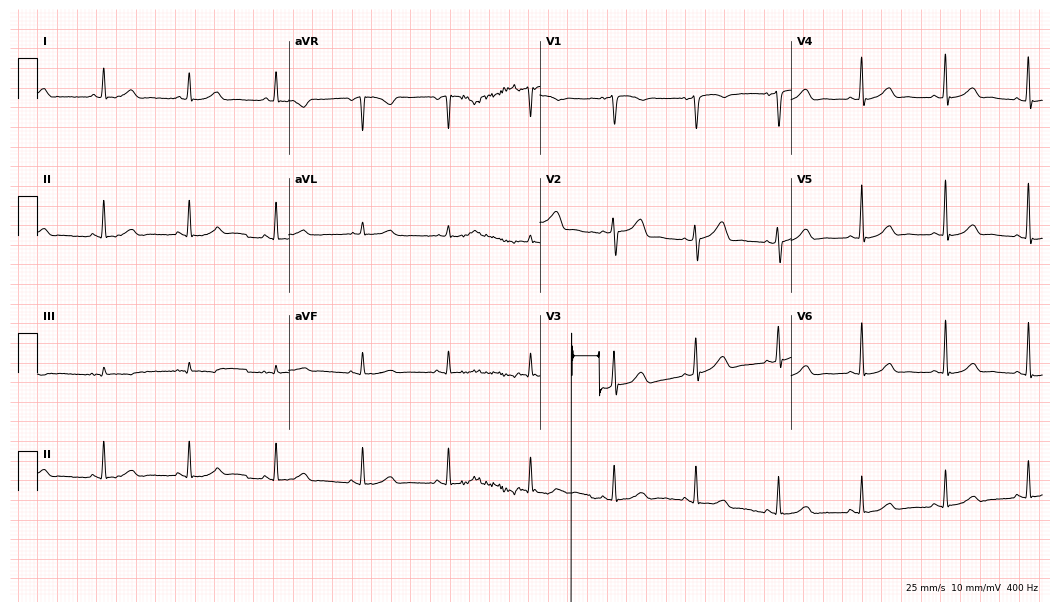
Electrocardiogram, a woman, 70 years old. Of the six screened findings (first-degree AV block, right bundle branch block, left bundle branch block, sinus bradycardia, atrial fibrillation, sinus tachycardia), none is recorded.